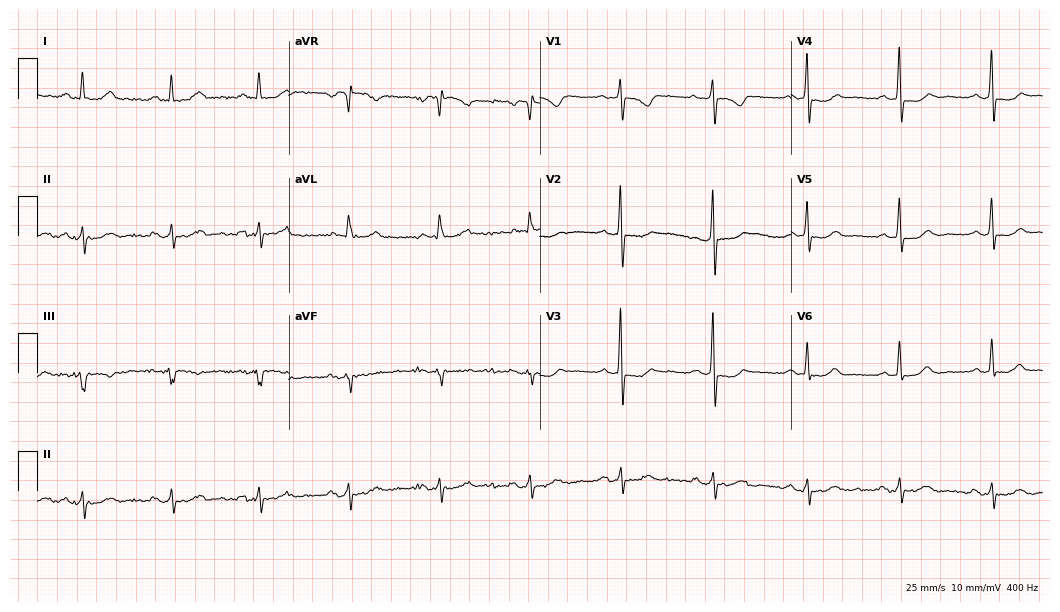
ECG (10.2-second recording at 400 Hz) — a female patient, 71 years old. Screened for six findings — first-degree AV block, right bundle branch block, left bundle branch block, sinus bradycardia, atrial fibrillation, sinus tachycardia — none is recorded. Only these six findings were labelled.